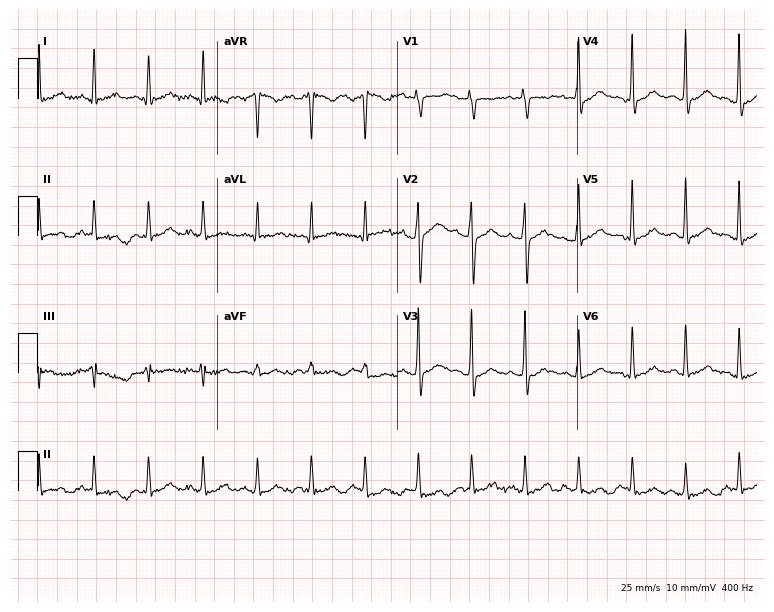
ECG — a 35-year-old male patient. Findings include sinus tachycardia (a sinus rate of 100 beats per minute or more).